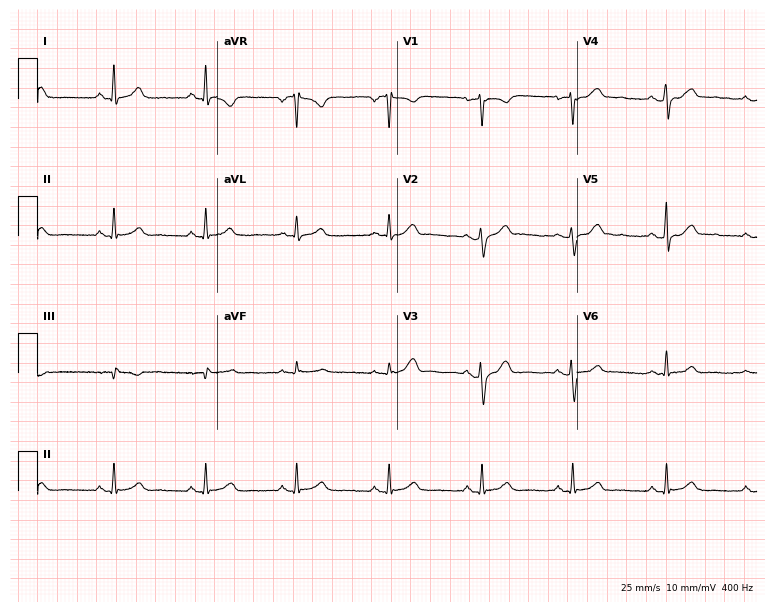
12-lead ECG from a female patient, 42 years old (7.3-second recording at 400 Hz). No first-degree AV block, right bundle branch block, left bundle branch block, sinus bradycardia, atrial fibrillation or sinus tachycardia recorded for this tracing. Only these six findings were labelled.